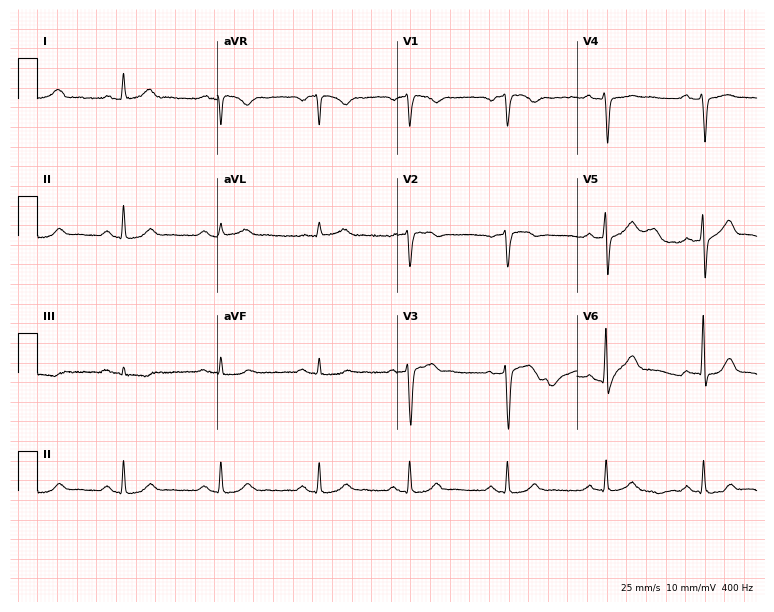
ECG (7.3-second recording at 400 Hz) — a 68-year-old male. Screened for six findings — first-degree AV block, right bundle branch block, left bundle branch block, sinus bradycardia, atrial fibrillation, sinus tachycardia — none is recorded.